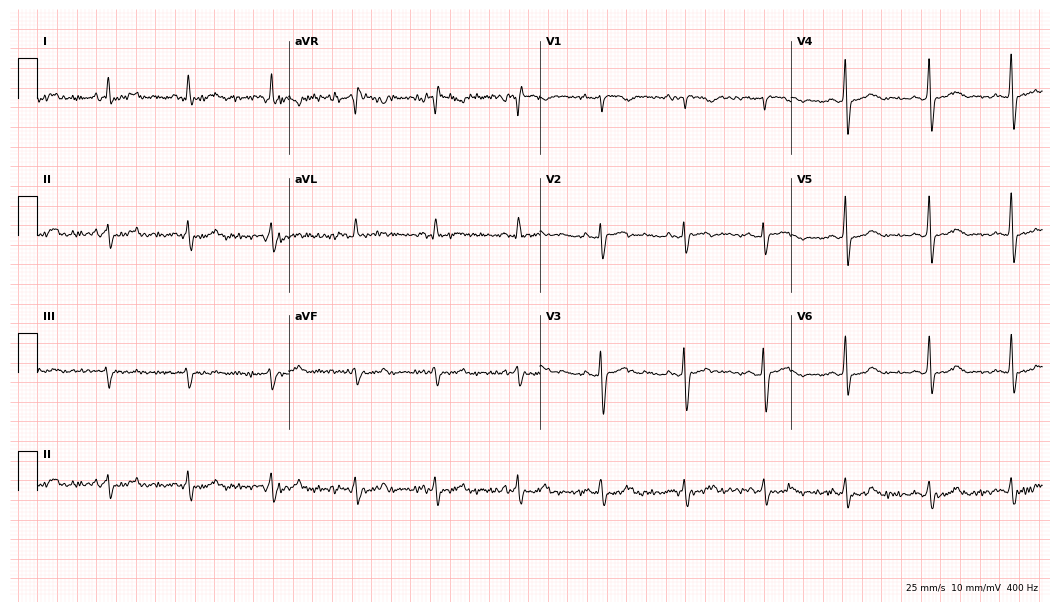
Standard 12-lead ECG recorded from a female, 45 years old (10.2-second recording at 400 Hz). Read as a normal ECG.